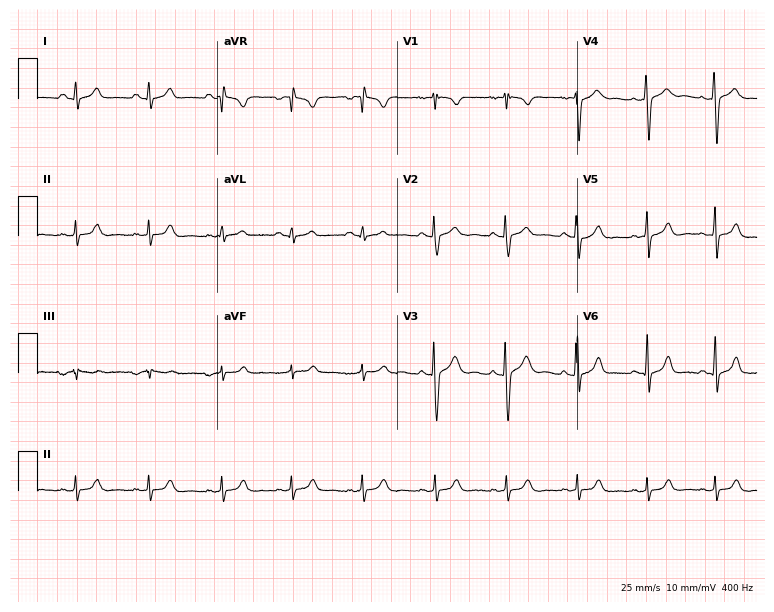
Electrocardiogram, a female patient, 23 years old. Overall reading on record: normal ECG.